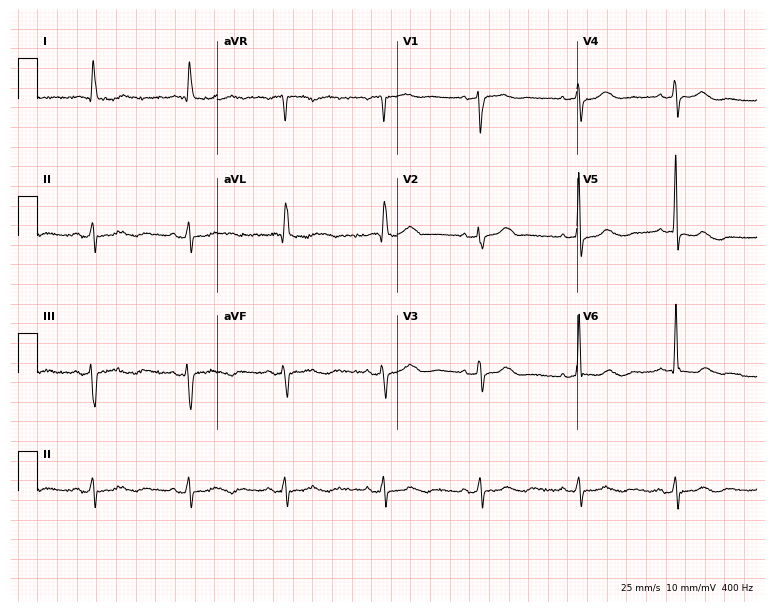
12-lead ECG (7.3-second recording at 400 Hz) from an 85-year-old woman. Screened for six findings — first-degree AV block, right bundle branch block (RBBB), left bundle branch block (LBBB), sinus bradycardia, atrial fibrillation (AF), sinus tachycardia — none is recorded.